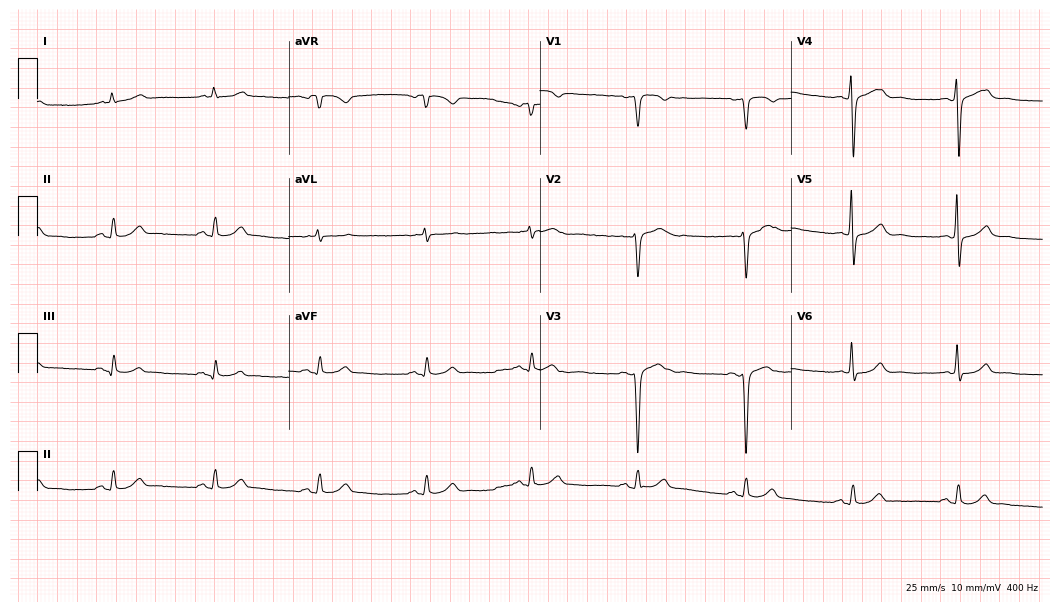
12-lead ECG from a 61-year-old man (10.2-second recording at 400 Hz). No first-degree AV block, right bundle branch block, left bundle branch block, sinus bradycardia, atrial fibrillation or sinus tachycardia recorded for this tracing.